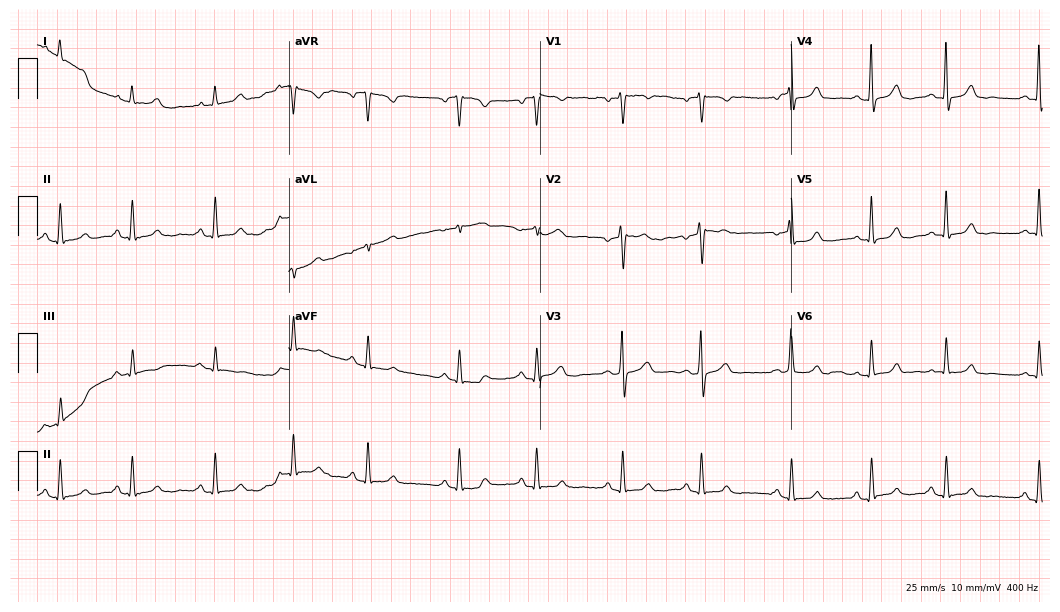
ECG (10.2-second recording at 400 Hz) — a 25-year-old female. Labelled as a normal ECG.